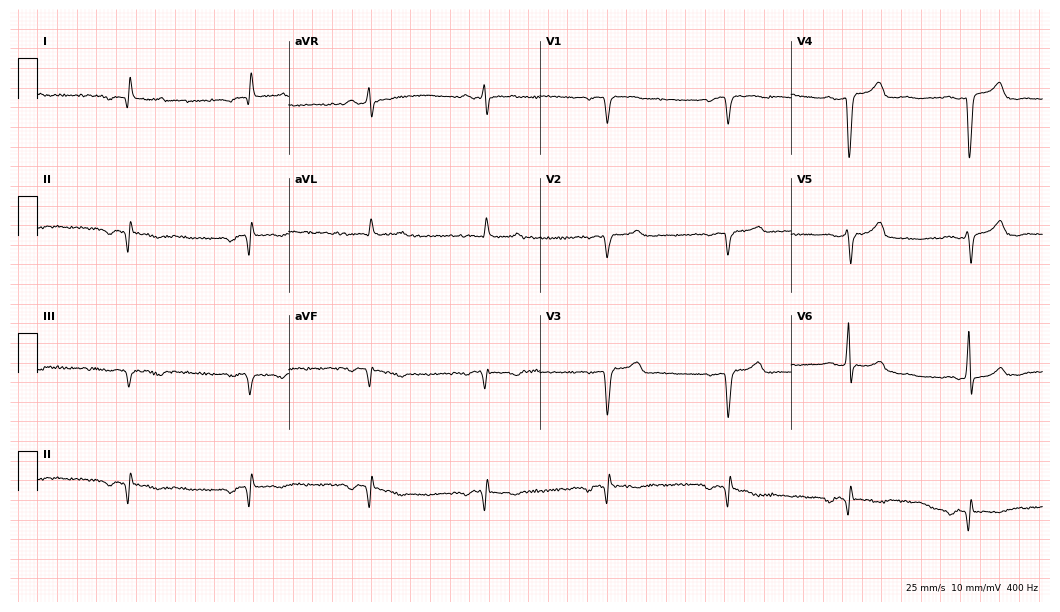
12-lead ECG from a male, 83 years old. Screened for six findings — first-degree AV block, right bundle branch block, left bundle branch block, sinus bradycardia, atrial fibrillation, sinus tachycardia — none is recorded.